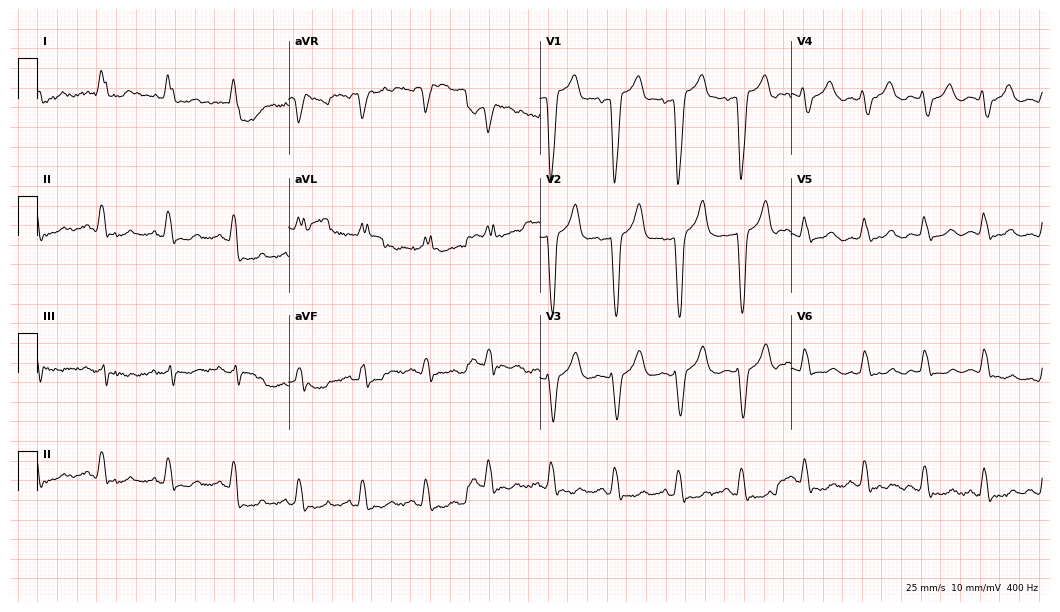
Standard 12-lead ECG recorded from a female, 77 years old. The tracing shows left bundle branch block.